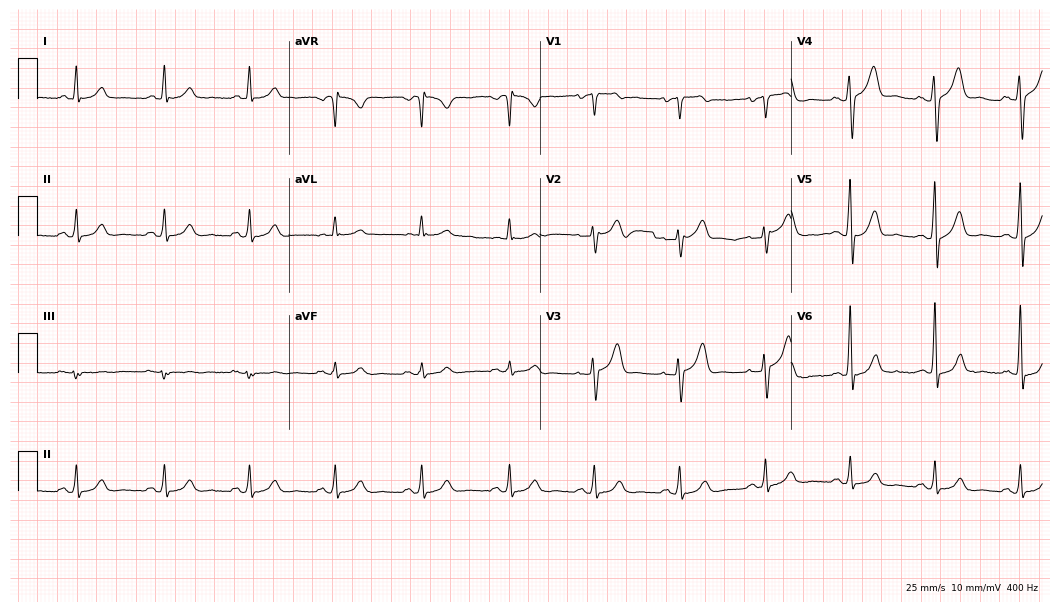
Resting 12-lead electrocardiogram. Patient: a 66-year-old male. Read as a normal ECG.